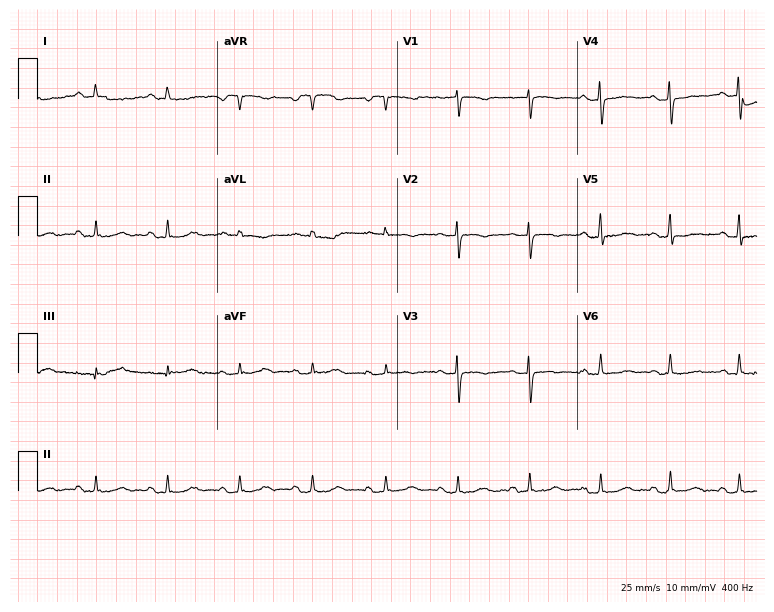
12-lead ECG from a female, 53 years old. No first-degree AV block, right bundle branch block (RBBB), left bundle branch block (LBBB), sinus bradycardia, atrial fibrillation (AF) or sinus tachycardia recorded for this tracing.